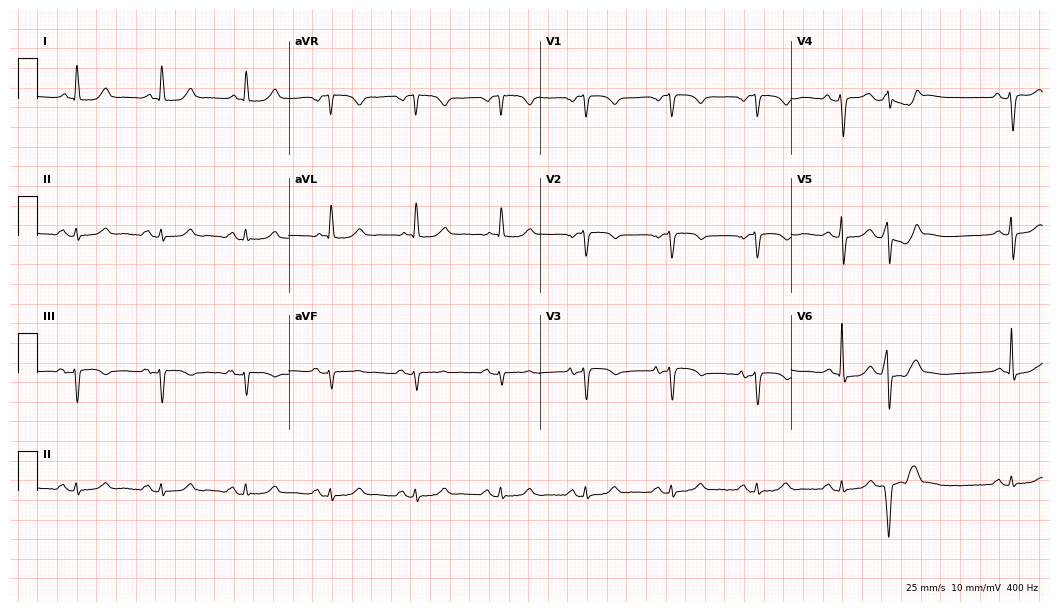
12-lead ECG from a woman, 77 years old (10.2-second recording at 400 Hz). No first-degree AV block, right bundle branch block (RBBB), left bundle branch block (LBBB), sinus bradycardia, atrial fibrillation (AF) or sinus tachycardia recorded for this tracing. Findings outside these six are not listed.